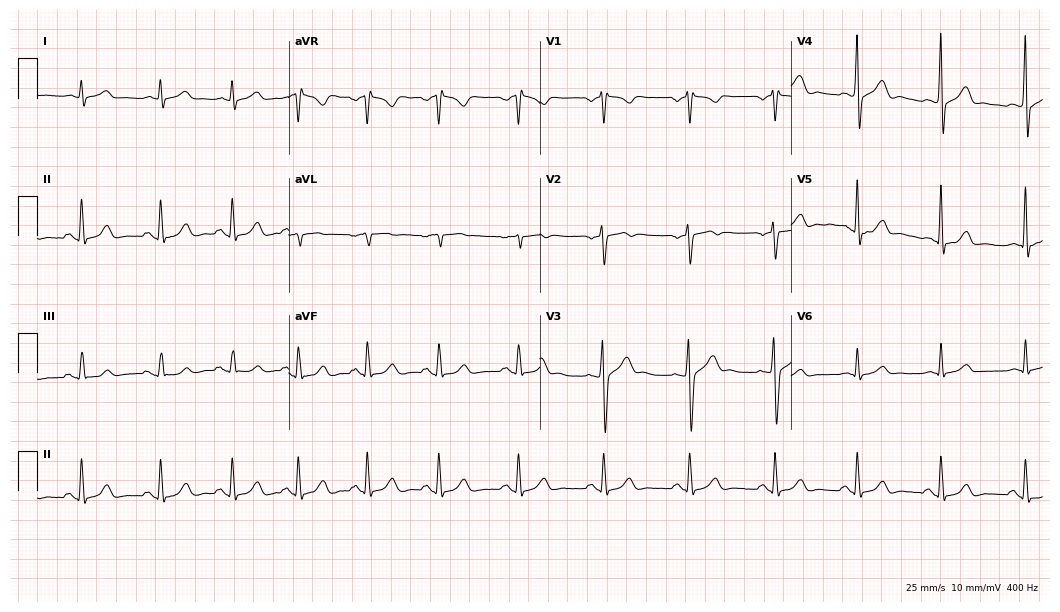
Resting 12-lead electrocardiogram. Patient: a 45-year-old male. None of these six findings is recorded: first-degree AV block, right bundle branch block (RBBB), left bundle branch block (LBBB), sinus bradycardia, atrial fibrillation (AF), sinus tachycardia. Findings outside these six are not listed.